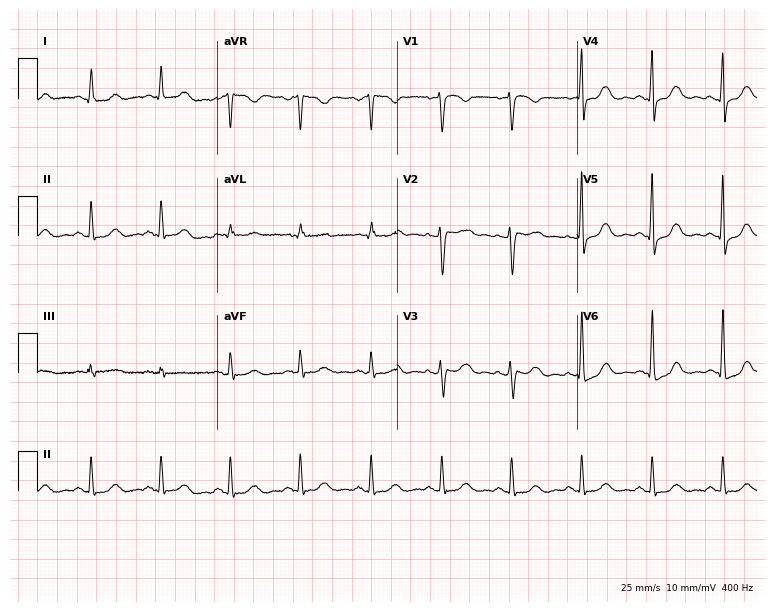
Standard 12-lead ECG recorded from a 56-year-old female (7.3-second recording at 400 Hz). None of these six findings is recorded: first-degree AV block, right bundle branch block (RBBB), left bundle branch block (LBBB), sinus bradycardia, atrial fibrillation (AF), sinus tachycardia.